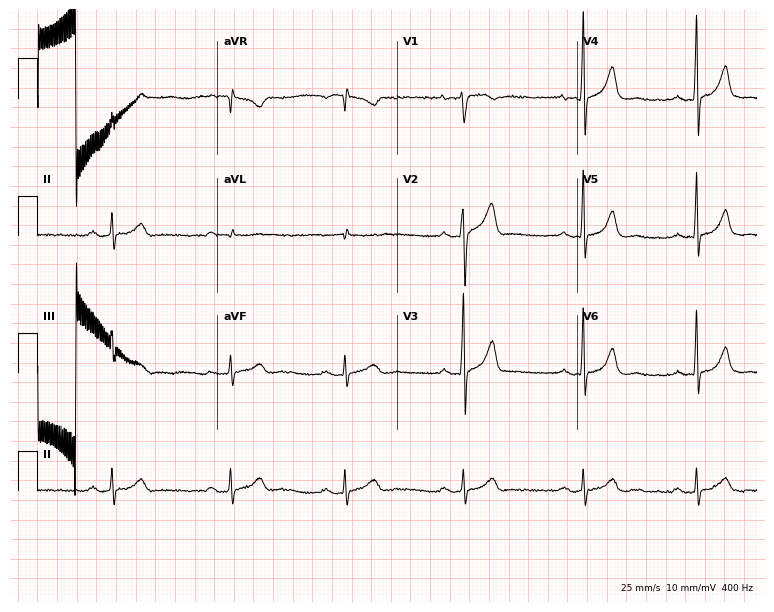
12-lead ECG from a man, 39 years old. Shows first-degree AV block, sinus bradycardia (a sinus rate of 50 beats per minute or less).